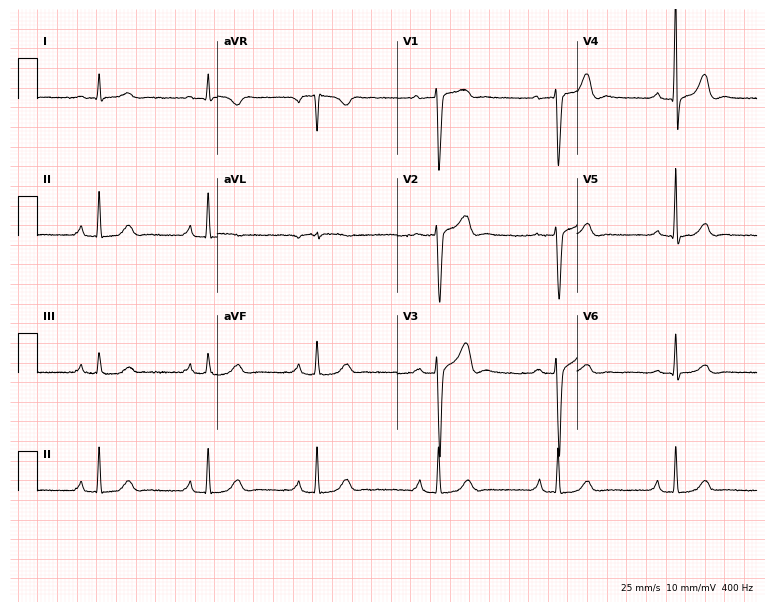
ECG — a 66-year-old man. Labelled as a normal ECG.